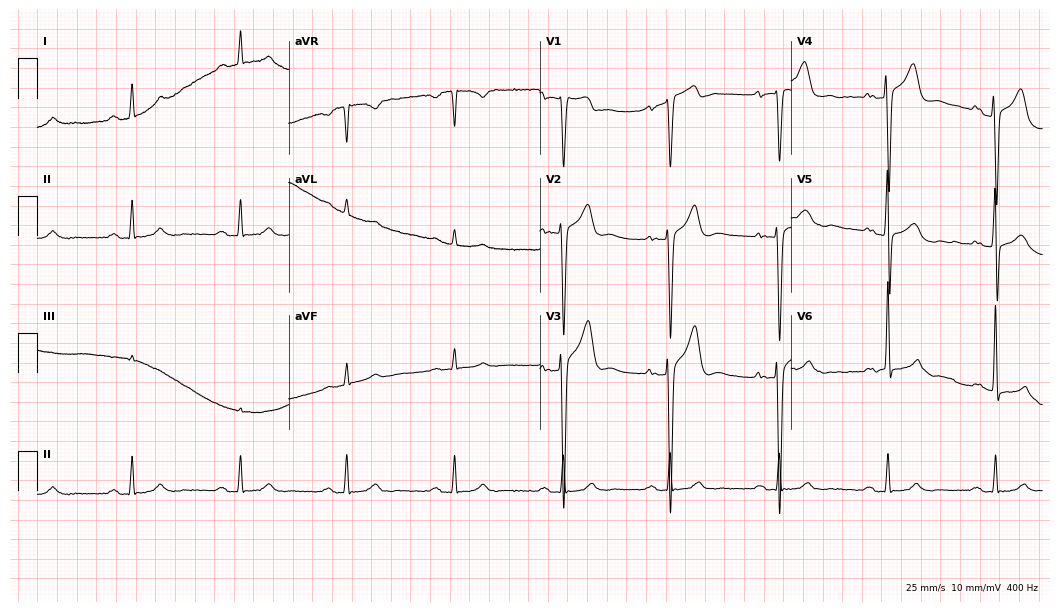
Electrocardiogram (10.2-second recording at 400 Hz), a man, 62 years old. Overall reading on record: normal ECG.